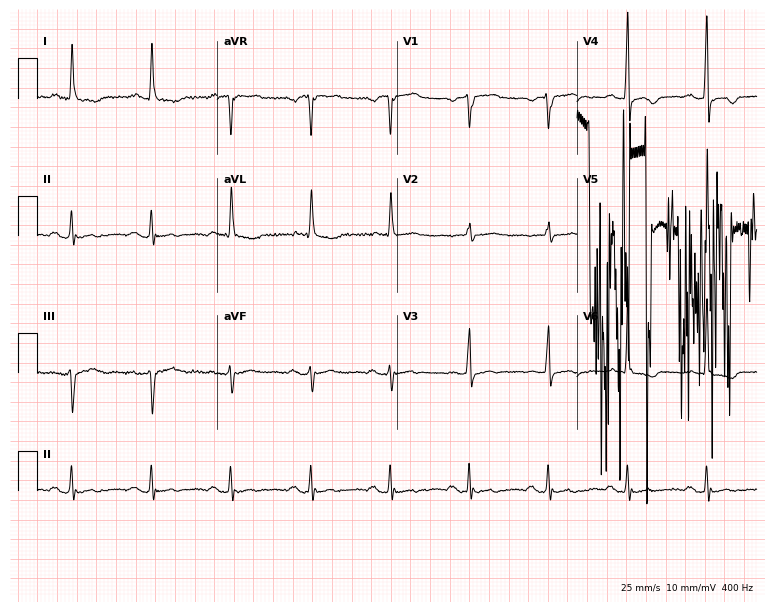
ECG — a male patient, 80 years old. Screened for six findings — first-degree AV block, right bundle branch block, left bundle branch block, sinus bradycardia, atrial fibrillation, sinus tachycardia — none is recorded. Other findings, if any, are not listed.